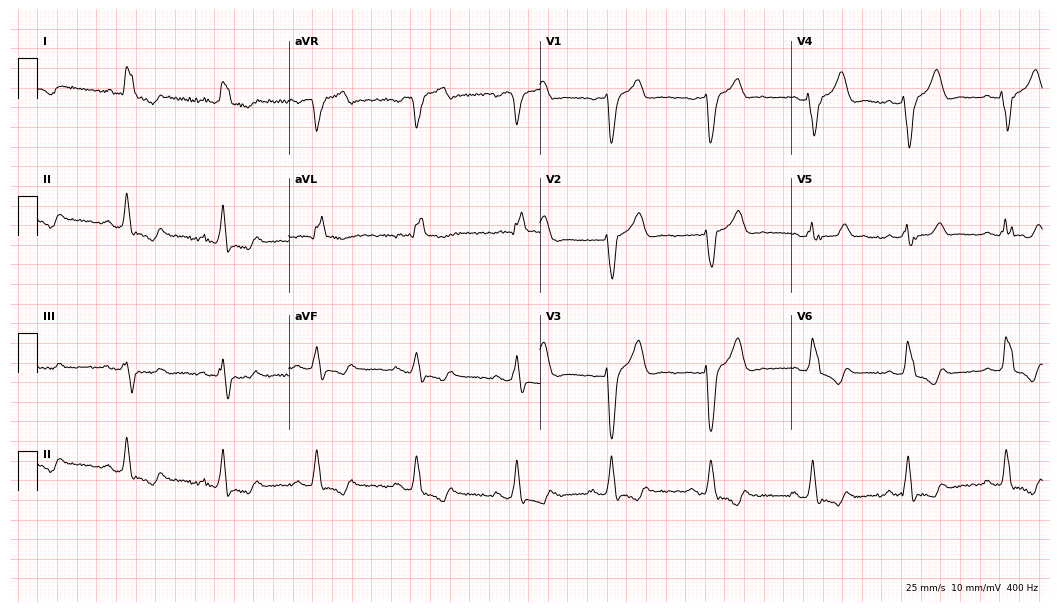
Resting 12-lead electrocardiogram. Patient: a female, 68 years old. The tracing shows left bundle branch block (LBBB).